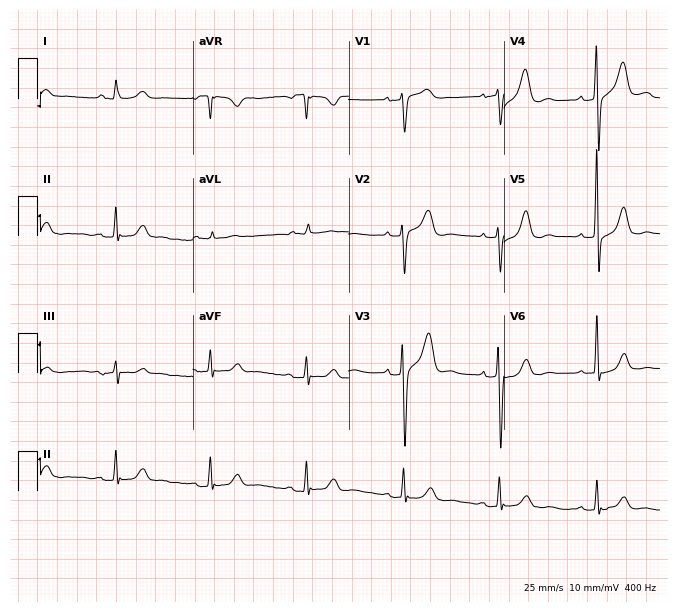
Standard 12-lead ECG recorded from a female patient, 64 years old (6.3-second recording at 400 Hz). Read as a normal ECG.